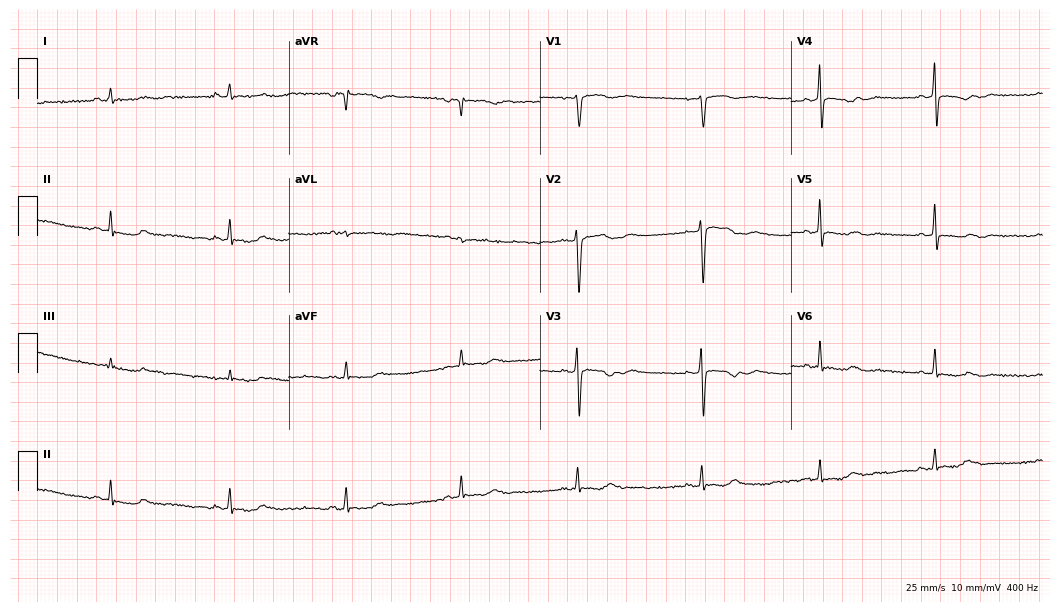
12-lead ECG (10.2-second recording at 400 Hz) from a woman, 39 years old. Screened for six findings — first-degree AV block, right bundle branch block, left bundle branch block, sinus bradycardia, atrial fibrillation, sinus tachycardia — none is recorded.